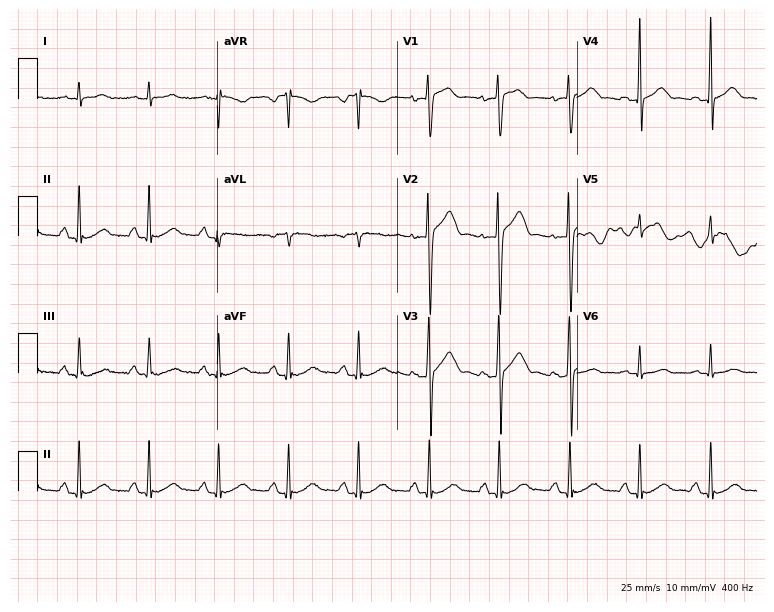
ECG — a 20-year-old male. Labelled as a normal ECG.